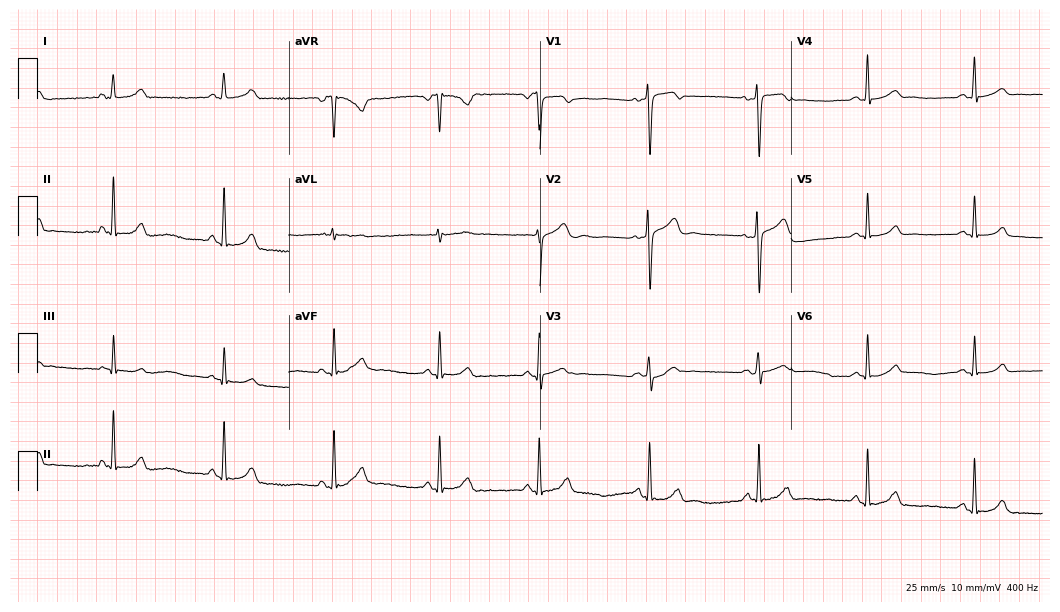
12-lead ECG from a 22-year-old female. No first-degree AV block, right bundle branch block, left bundle branch block, sinus bradycardia, atrial fibrillation or sinus tachycardia recorded for this tracing.